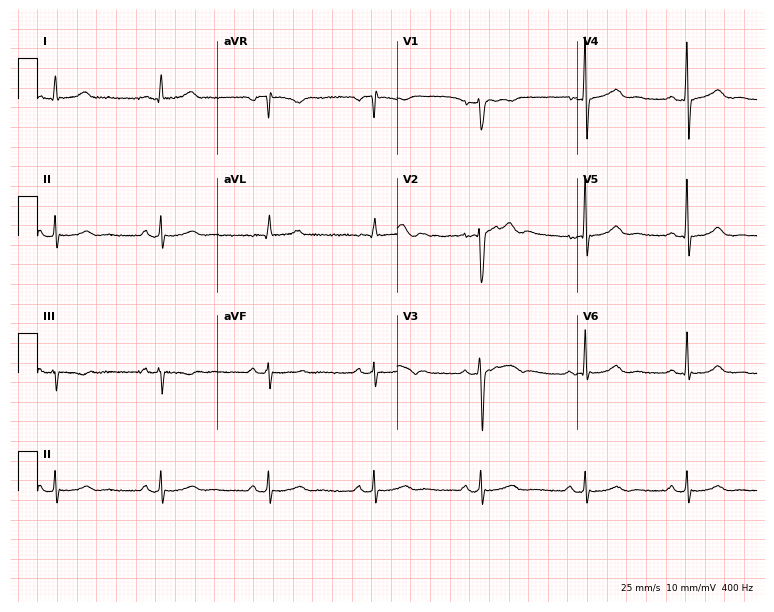
Electrocardiogram (7.3-second recording at 400 Hz), a male patient, 52 years old. Overall reading on record: normal ECG.